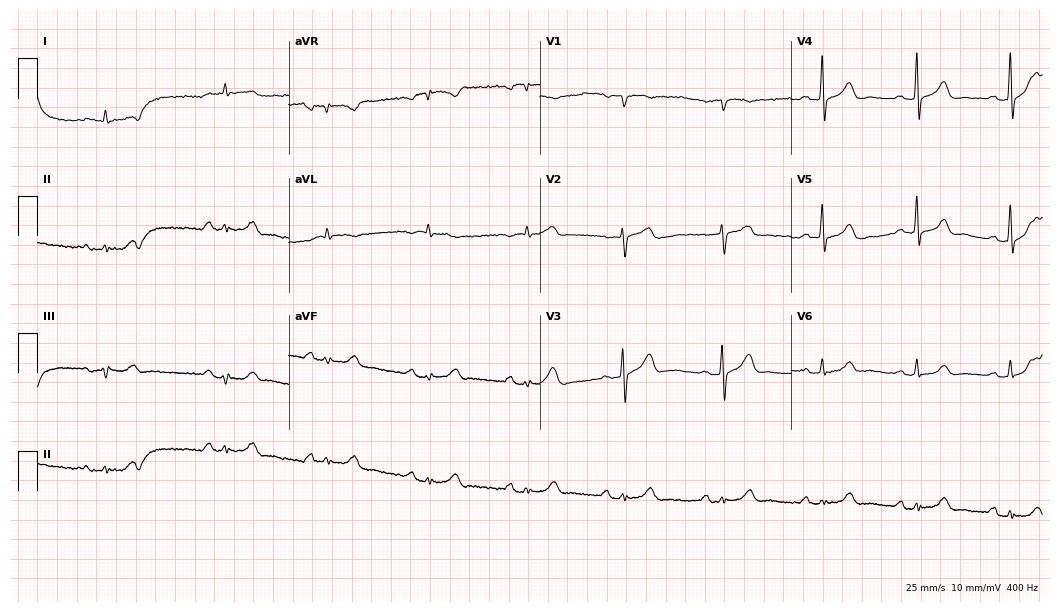
Standard 12-lead ECG recorded from an 81-year-old man (10.2-second recording at 400 Hz). None of these six findings is recorded: first-degree AV block, right bundle branch block (RBBB), left bundle branch block (LBBB), sinus bradycardia, atrial fibrillation (AF), sinus tachycardia.